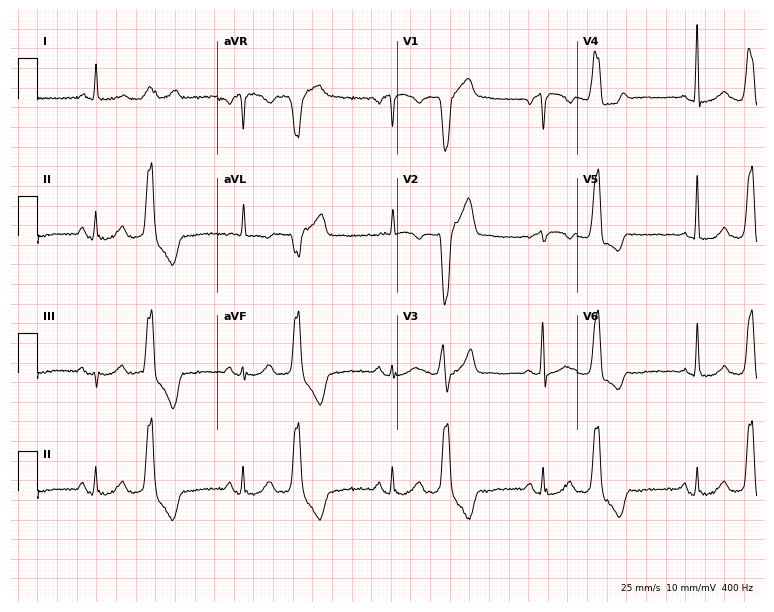
12-lead ECG (7.3-second recording at 400 Hz) from a male patient, 49 years old. Screened for six findings — first-degree AV block, right bundle branch block, left bundle branch block, sinus bradycardia, atrial fibrillation, sinus tachycardia — none is recorded. Other findings, if any, are not listed.